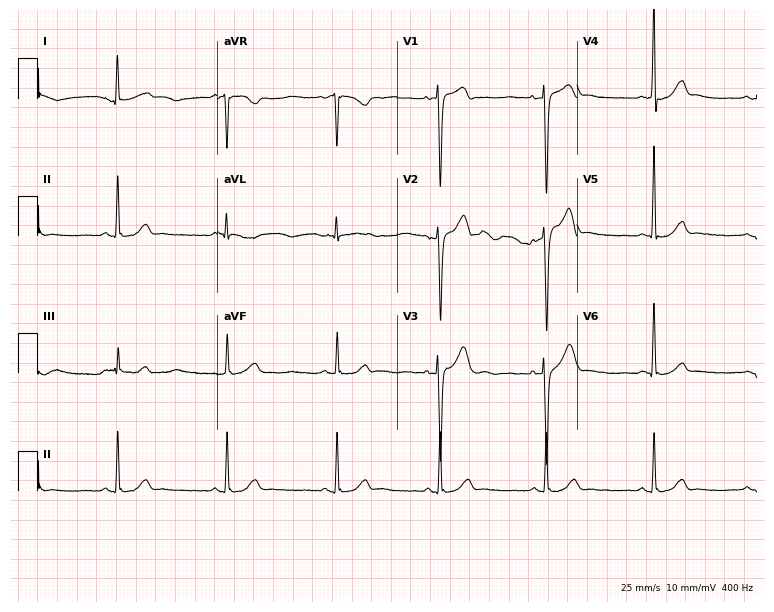
ECG (7.3-second recording at 400 Hz) — a 33-year-old male patient. Screened for six findings — first-degree AV block, right bundle branch block (RBBB), left bundle branch block (LBBB), sinus bradycardia, atrial fibrillation (AF), sinus tachycardia — none is recorded. Only these six findings were labelled.